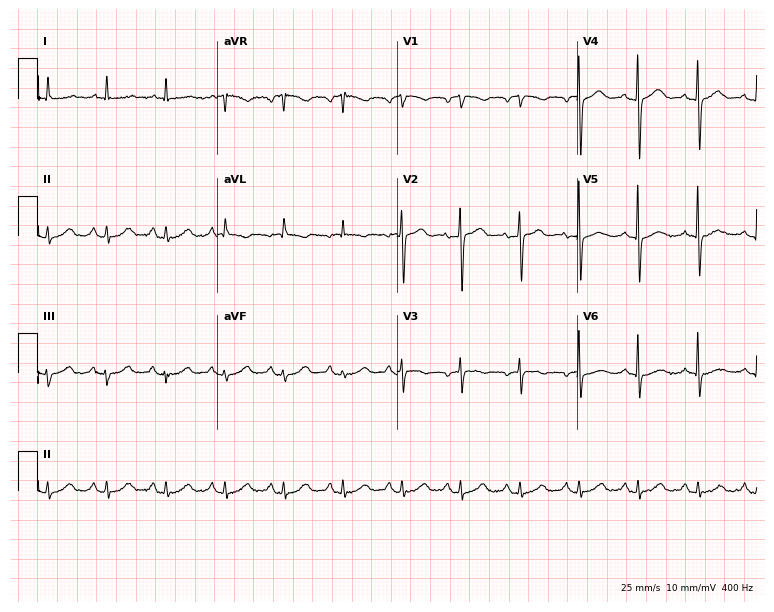
Resting 12-lead electrocardiogram. Patient: a 79-year-old female. None of these six findings is recorded: first-degree AV block, right bundle branch block, left bundle branch block, sinus bradycardia, atrial fibrillation, sinus tachycardia.